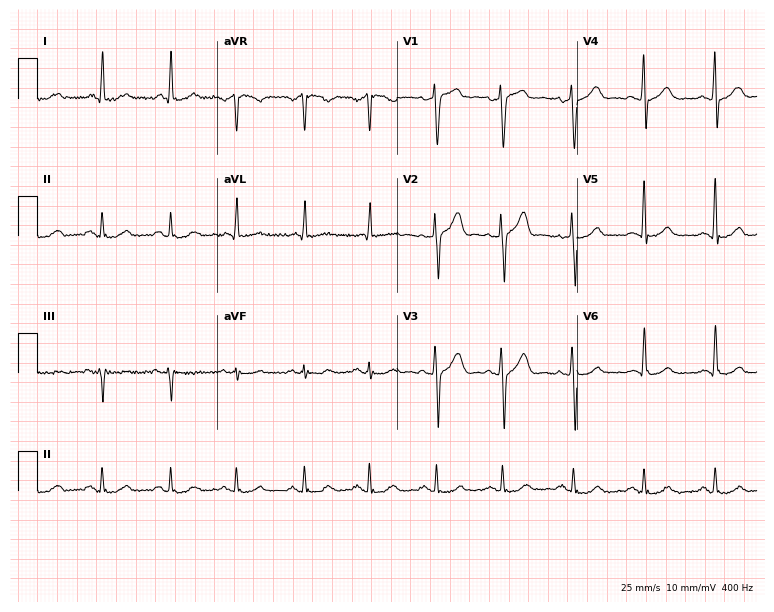
Electrocardiogram (7.3-second recording at 400 Hz), a 57-year-old male patient. Of the six screened findings (first-degree AV block, right bundle branch block, left bundle branch block, sinus bradycardia, atrial fibrillation, sinus tachycardia), none is recorded.